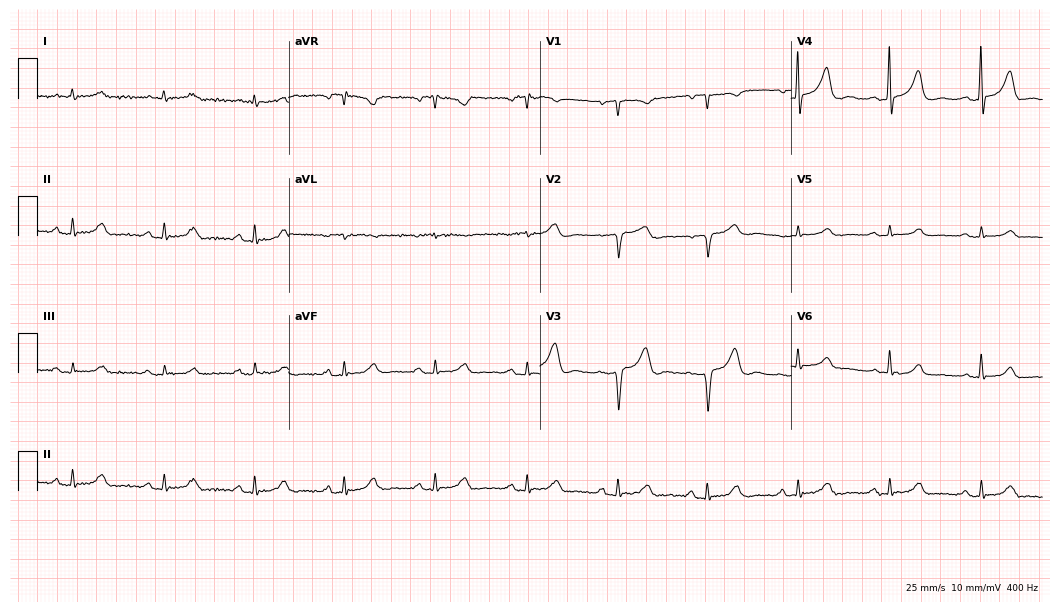
12-lead ECG (10.2-second recording at 400 Hz) from a male, 82 years old. Screened for six findings — first-degree AV block, right bundle branch block, left bundle branch block, sinus bradycardia, atrial fibrillation, sinus tachycardia — none is recorded. Only these six findings were labelled.